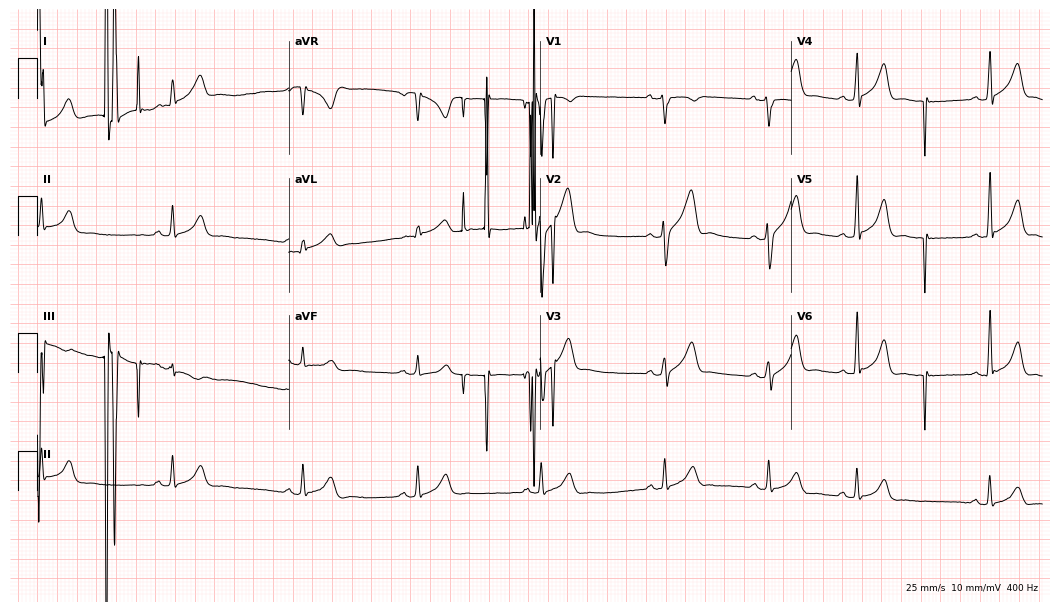
12-lead ECG from a male patient, 32 years old (10.2-second recording at 400 Hz). No first-degree AV block, right bundle branch block, left bundle branch block, sinus bradycardia, atrial fibrillation or sinus tachycardia recorded for this tracing. Findings outside these six are not listed.